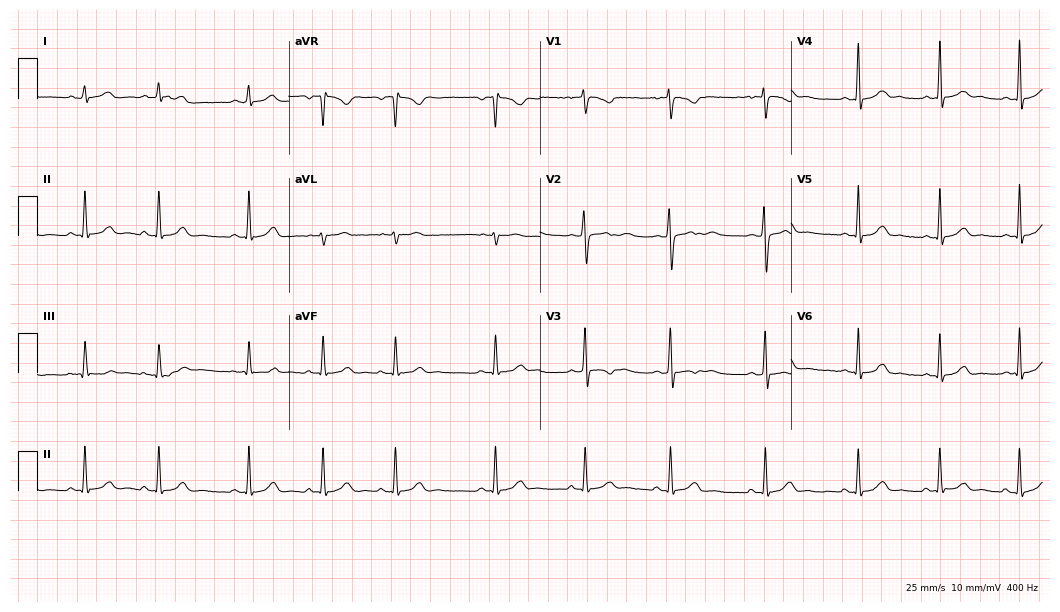
Electrocardiogram (10.2-second recording at 400 Hz), a woman, 18 years old. Overall reading on record: normal ECG.